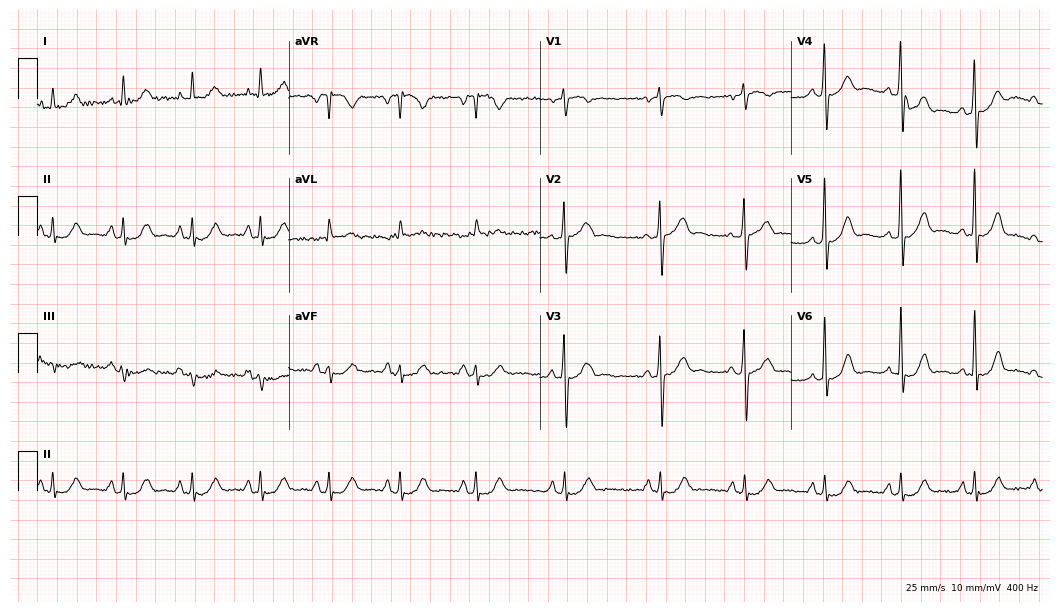
12-lead ECG from a man, 71 years old (10.2-second recording at 400 Hz). Recorded interpretation: within normal limits.